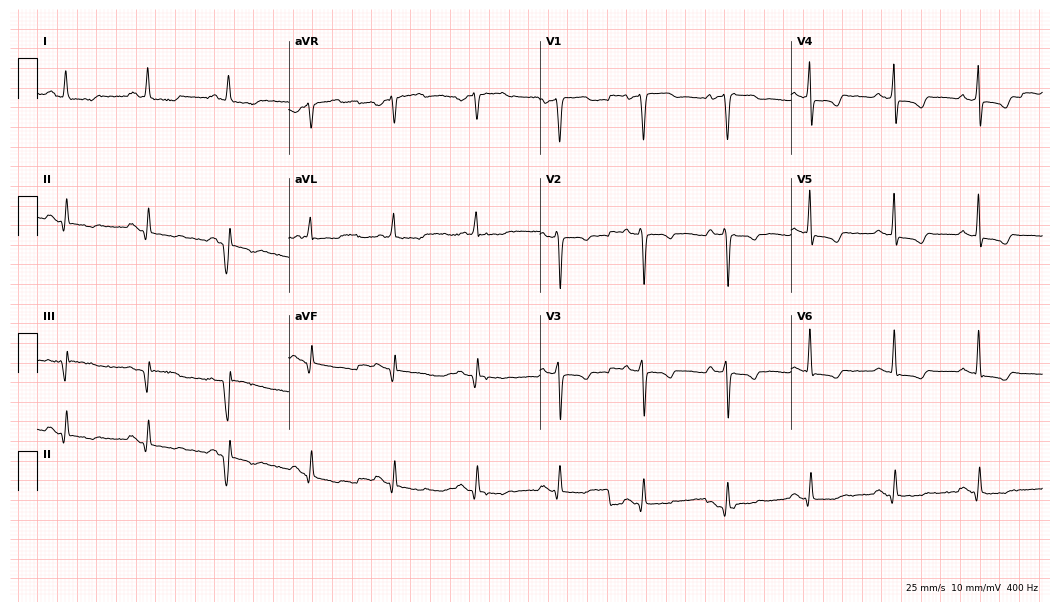
Standard 12-lead ECG recorded from a 58-year-old male. None of these six findings is recorded: first-degree AV block, right bundle branch block (RBBB), left bundle branch block (LBBB), sinus bradycardia, atrial fibrillation (AF), sinus tachycardia.